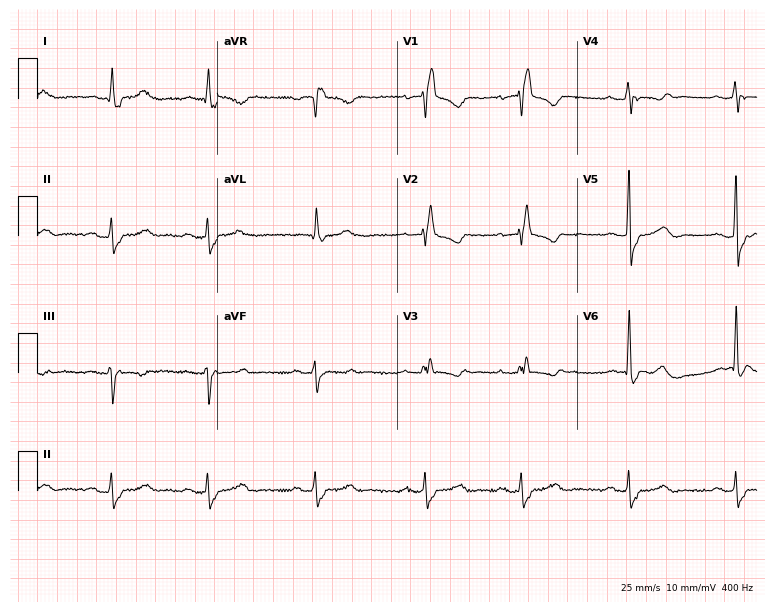
12-lead ECG (7.3-second recording at 400 Hz) from a 67-year-old woman. Findings include right bundle branch block.